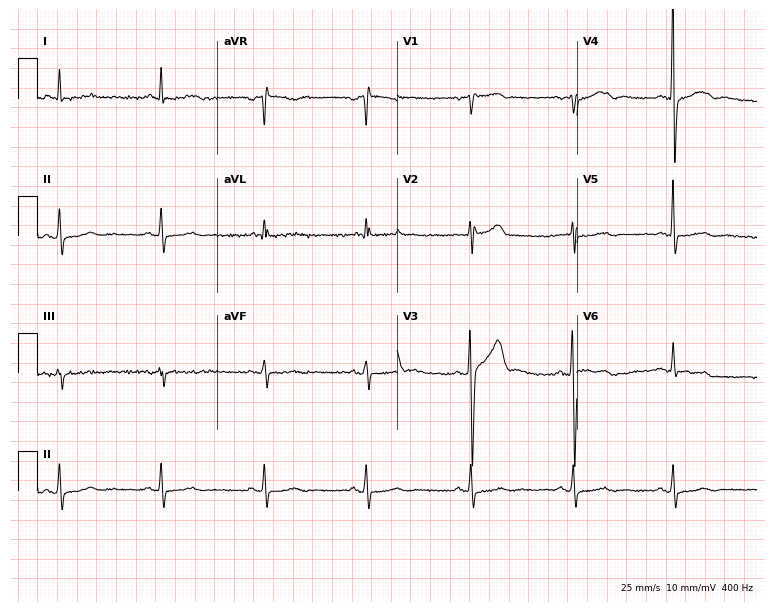
Resting 12-lead electrocardiogram (7.3-second recording at 400 Hz). Patient: a man, 39 years old. None of these six findings is recorded: first-degree AV block, right bundle branch block, left bundle branch block, sinus bradycardia, atrial fibrillation, sinus tachycardia.